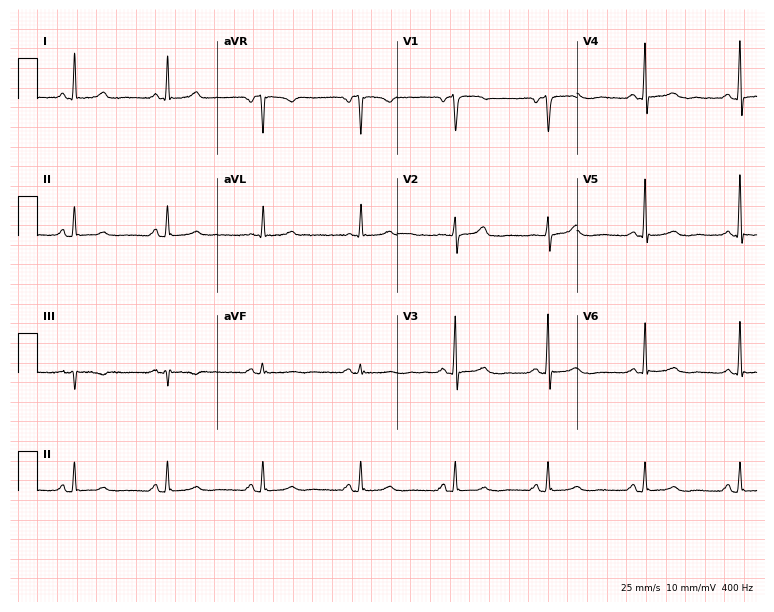
Electrocardiogram (7.3-second recording at 400 Hz), a female patient, 68 years old. Overall reading on record: normal ECG.